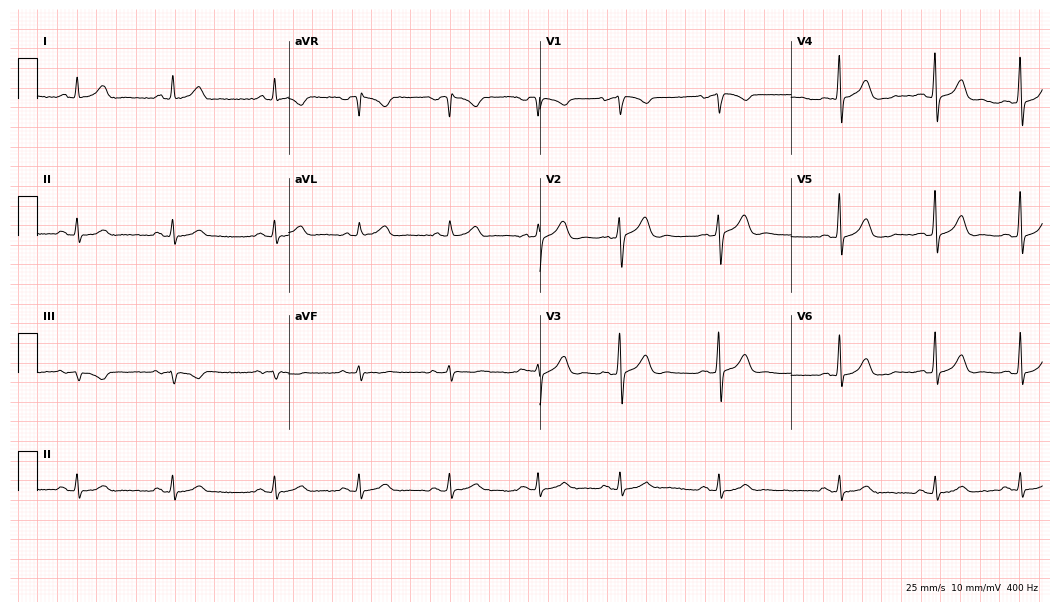
Resting 12-lead electrocardiogram. Patient: a man, 36 years old. Read as a normal ECG.